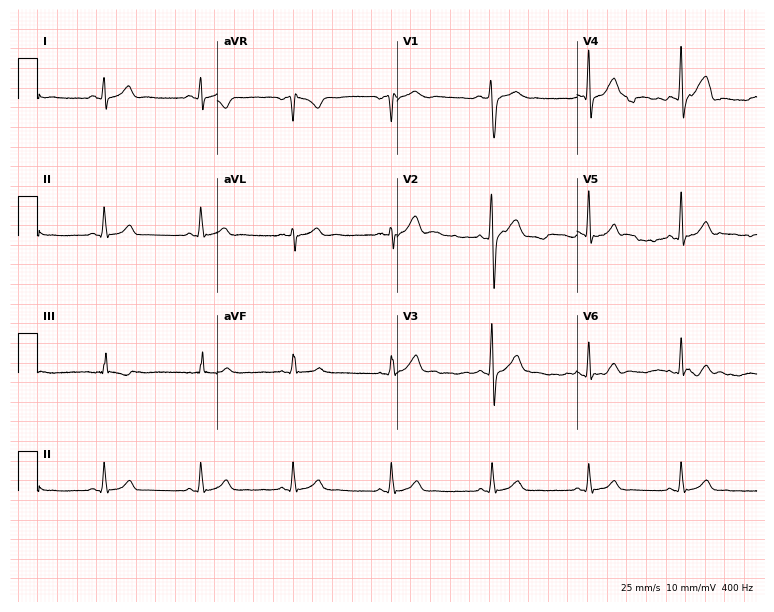
Resting 12-lead electrocardiogram. Patient: a male, 25 years old. Read as a normal ECG.